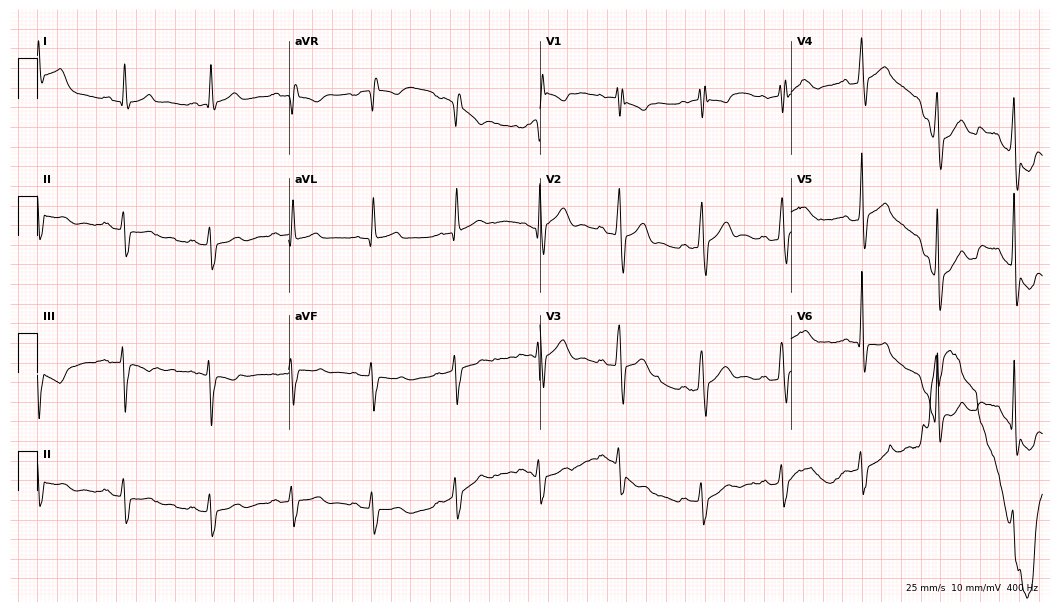
Electrocardiogram, a man, 29 years old. Of the six screened findings (first-degree AV block, right bundle branch block (RBBB), left bundle branch block (LBBB), sinus bradycardia, atrial fibrillation (AF), sinus tachycardia), none is recorded. Findings outside these six are not listed.